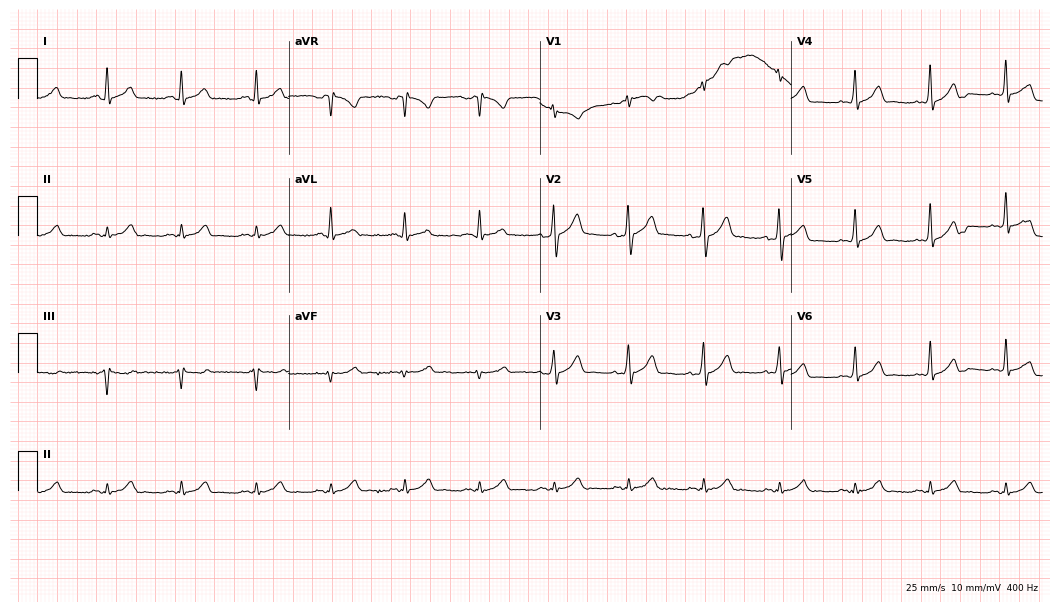
ECG — a 43-year-old male patient. Labelled as a normal ECG.